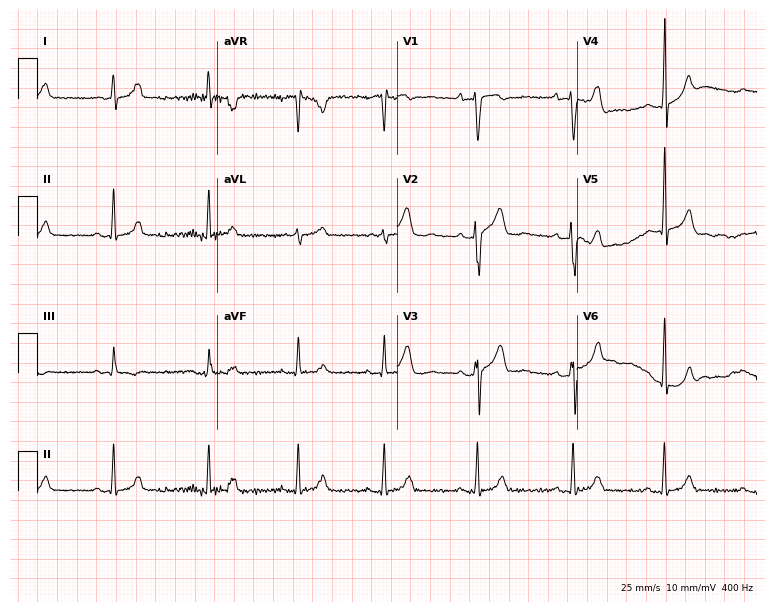
ECG — a 22-year-old man. Labelled as a normal ECG.